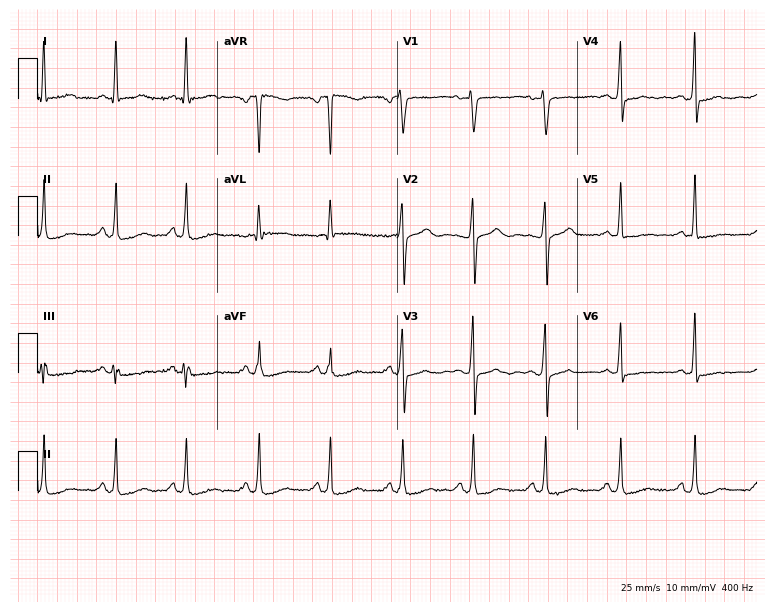
12-lead ECG from a 48-year-old female (7.3-second recording at 400 Hz). No first-degree AV block, right bundle branch block, left bundle branch block, sinus bradycardia, atrial fibrillation or sinus tachycardia recorded for this tracing. Only these six findings were labelled.